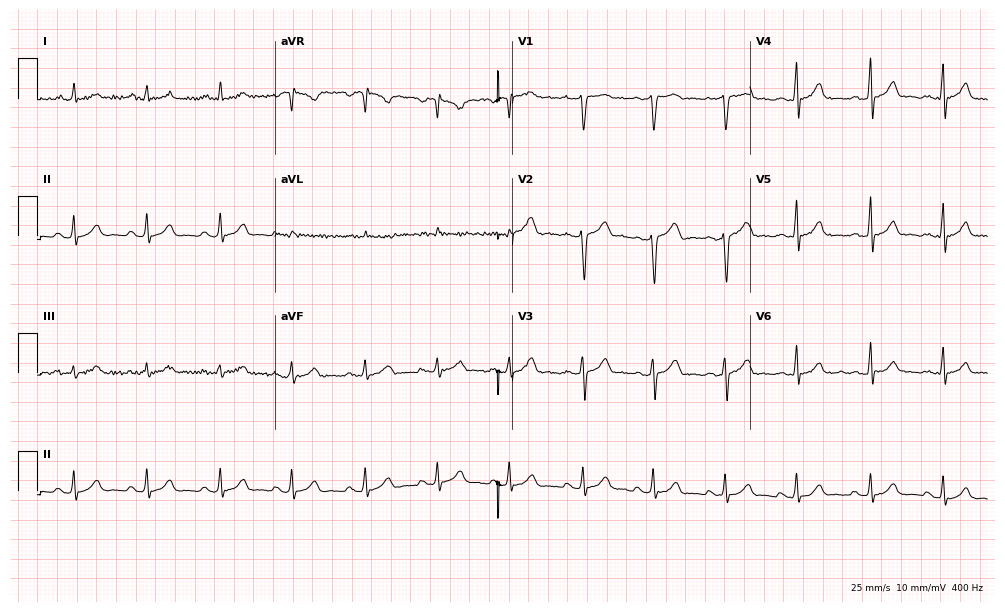
Electrocardiogram (9.7-second recording at 400 Hz), a female patient, 20 years old. Overall reading on record: normal ECG.